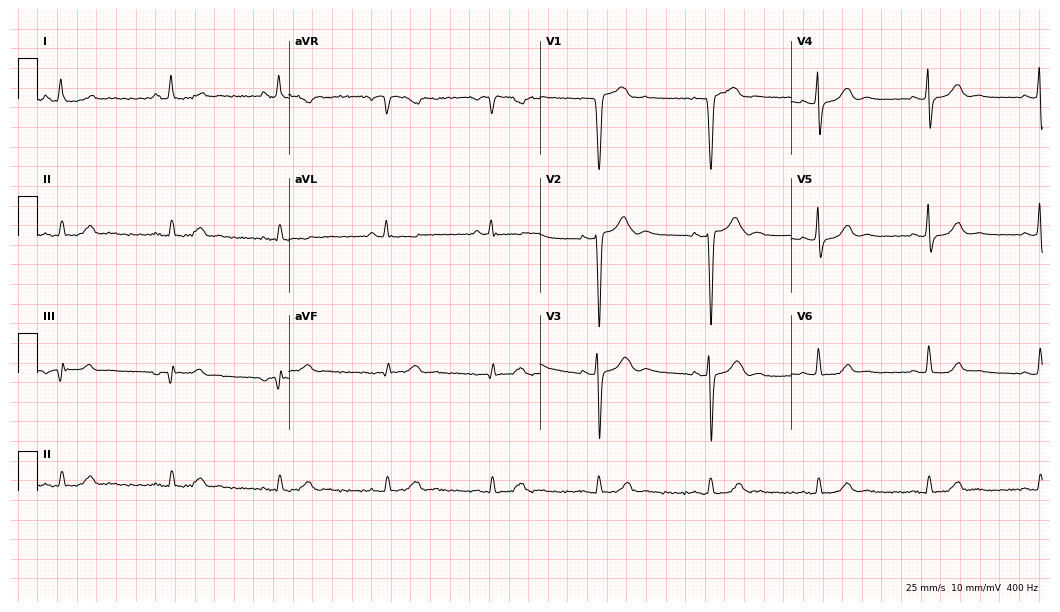
12-lead ECG from a woman, 37 years old. No first-degree AV block, right bundle branch block, left bundle branch block, sinus bradycardia, atrial fibrillation or sinus tachycardia recorded for this tracing. Findings outside these six are not listed.